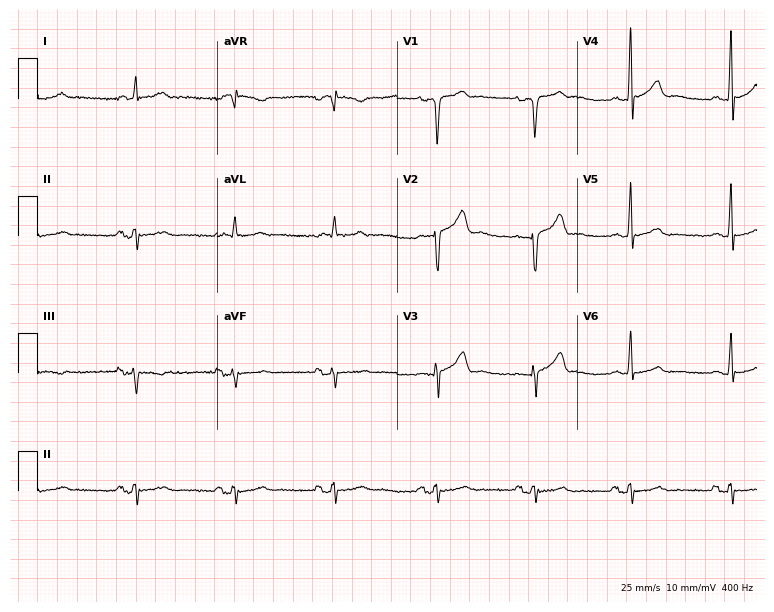
12-lead ECG from a 72-year-old man (7.3-second recording at 400 Hz). No first-degree AV block, right bundle branch block, left bundle branch block, sinus bradycardia, atrial fibrillation or sinus tachycardia recorded for this tracing.